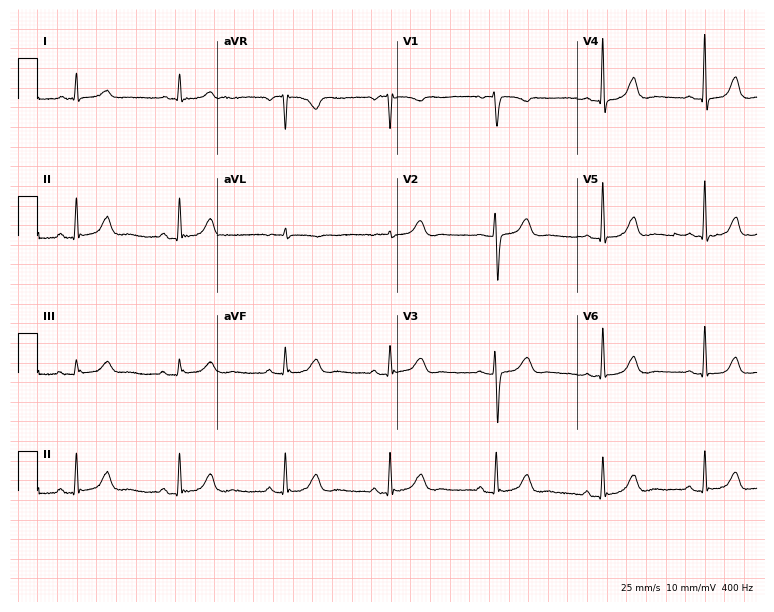
12-lead ECG from an 81-year-old female patient (7.3-second recording at 400 Hz). Recorded interpretation: within normal limits.